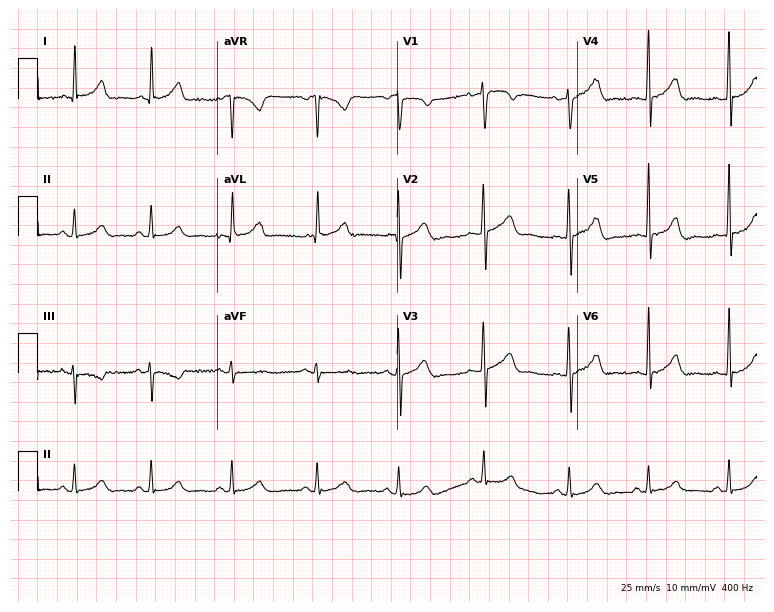
12-lead ECG (7.3-second recording at 400 Hz) from a female patient, 43 years old. Labelled as a normal ECG.